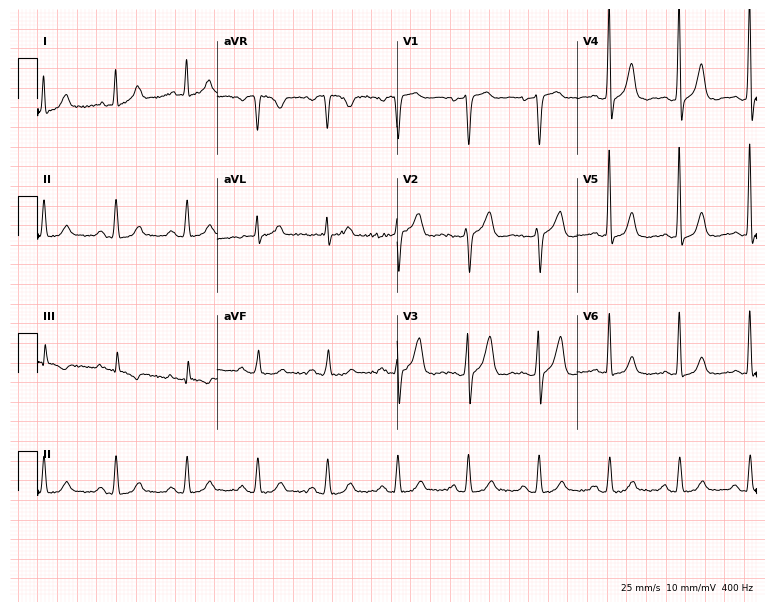
Electrocardiogram (7.3-second recording at 400 Hz), a man, 67 years old. Of the six screened findings (first-degree AV block, right bundle branch block, left bundle branch block, sinus bradycardia, atrial fibrillation, sinus tachycardia), none is recorded. Findings outside these six are not listed.